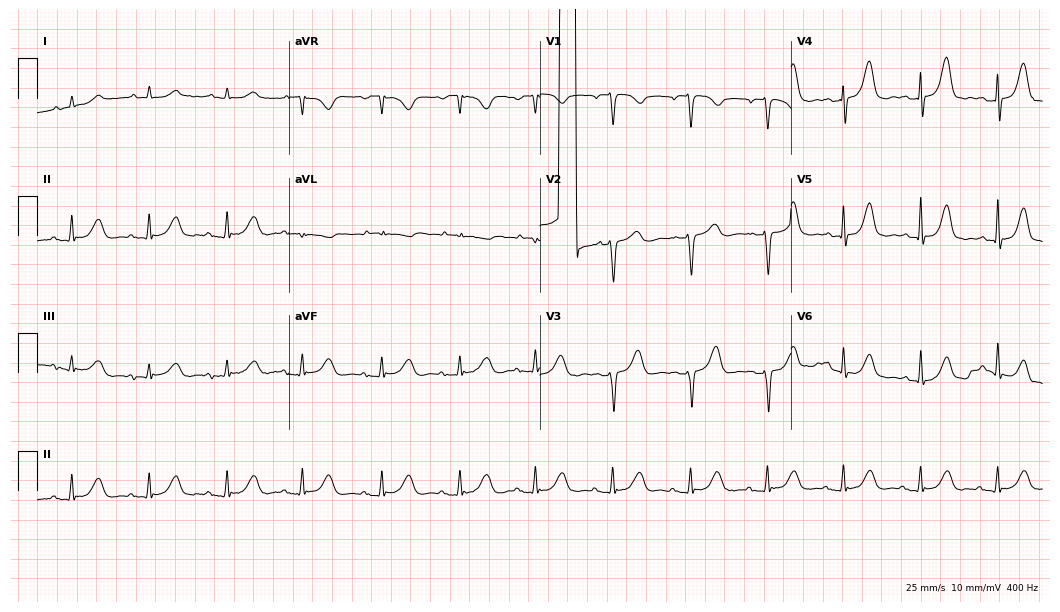
Resting 12-lead electrocardiogram. Patient: a 51-year-old male. Read as a normal ECG.